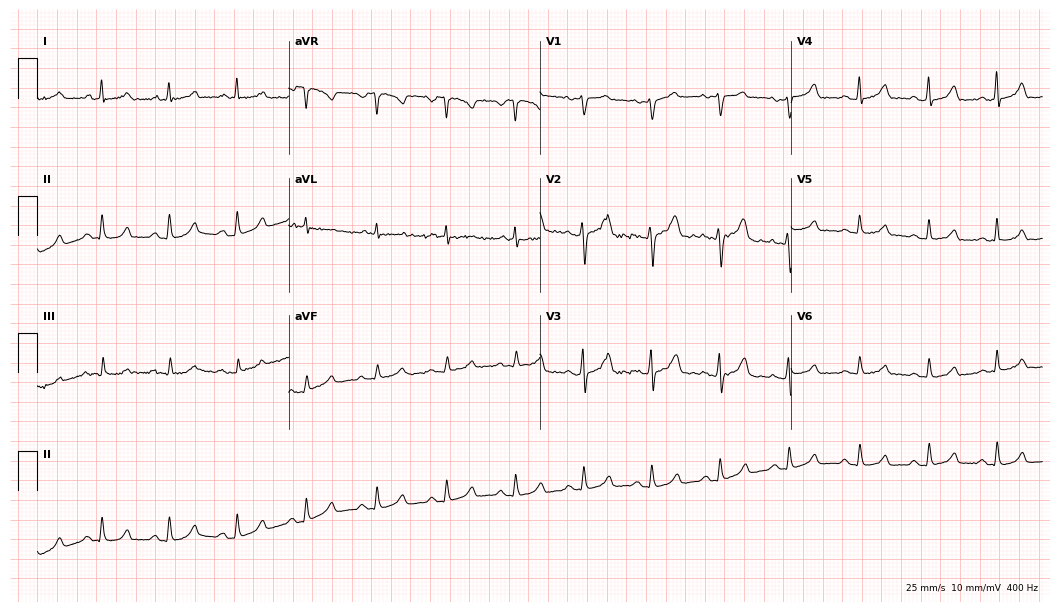
Standard 12-lead ECG recorded from a woman, 43 years old (10.2-second recording at 400 Hz). Read as a normal ECG.